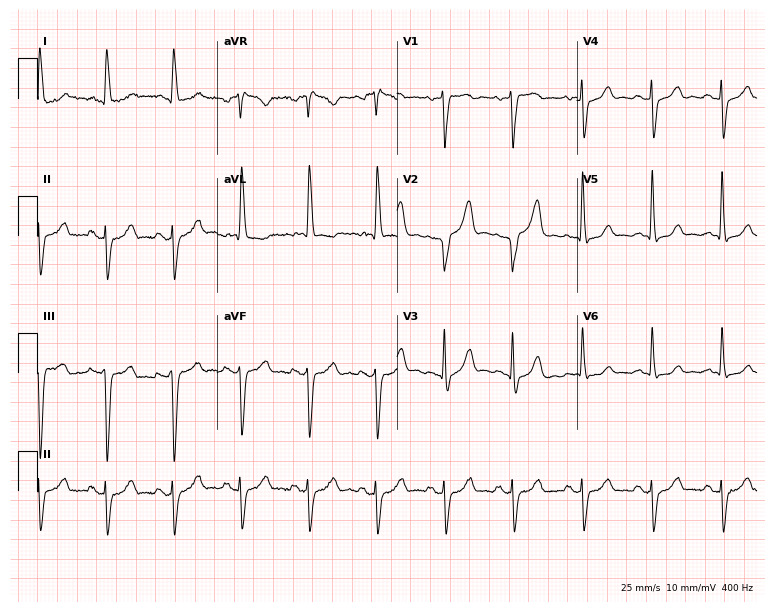
12-lead ECG from a 79-year-old woman. No first-degree AV block, right bundle branch block, left bundle branch block, sinus bradycardia, atrial fibrillation or sinus tachycardia recorded for this tracing. Only these six findings were labelled.